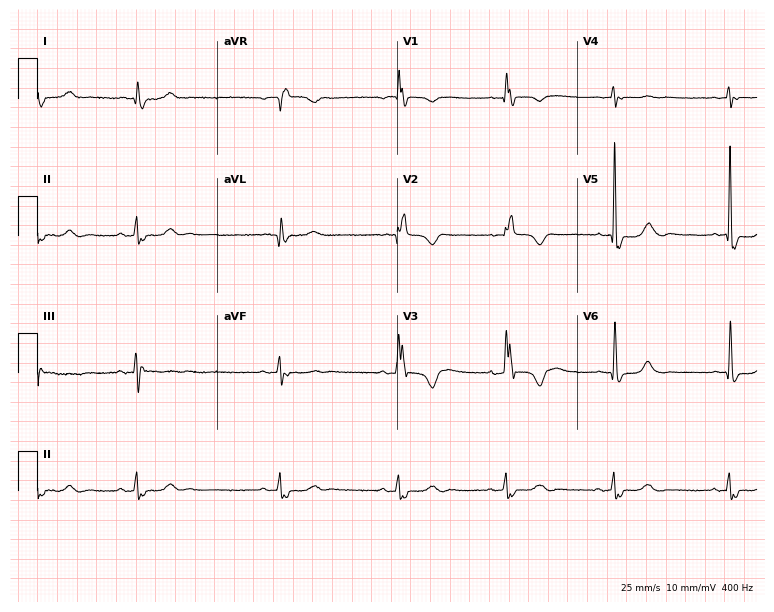
12-lead ECG from a 57-year-old woman. Findings include right bundle branch block.